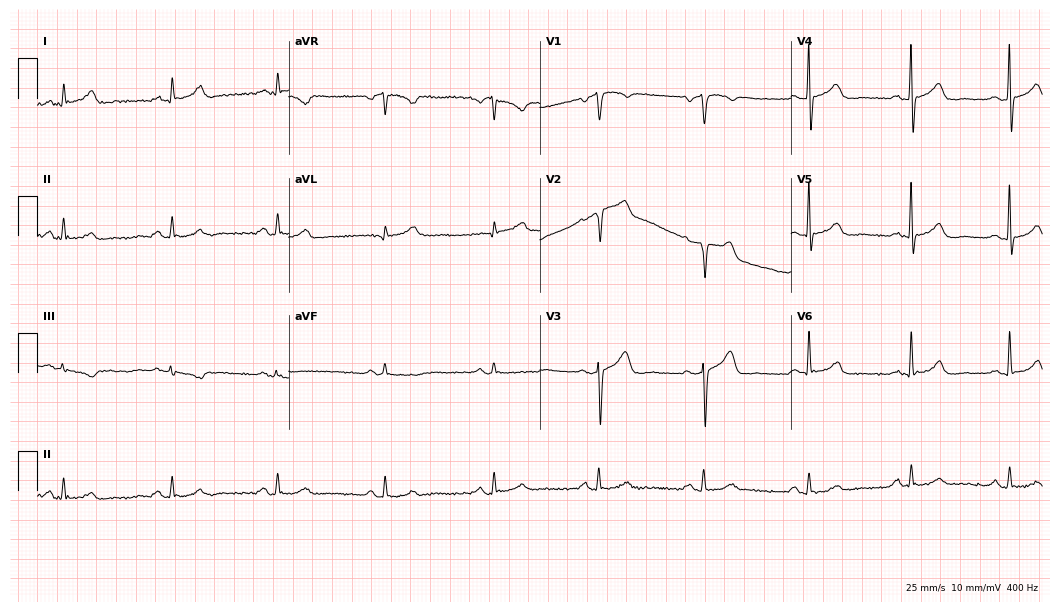
12-lead ECG from a 59-year-old man. Labelled as a normal ECG.